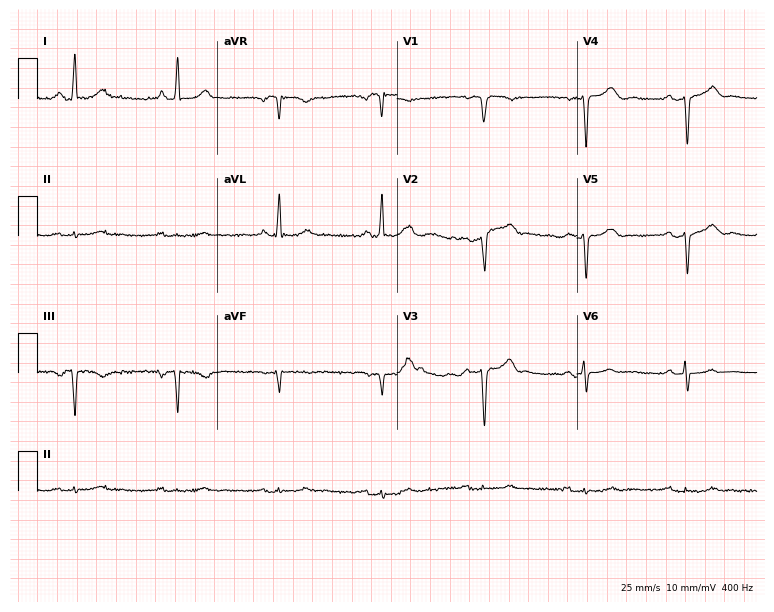
Resting 12-lead electrocardiogram. Patient: a man, 56 years old. None of these six findings is recorded: first-degree AV block, right bundle branch block (RBBB), left bundle branch block (LBBB), sinus bradycardia, atrial fibrillation (AF), sinus tachycardia. Other findings, if any, are not listed.